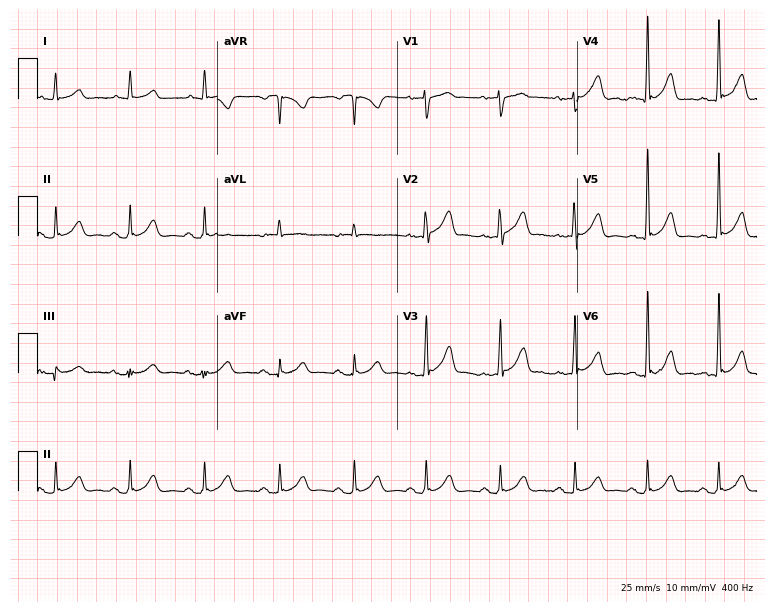
12-lead ECG from a 72-year-old male patient (7.3-second recording at 400 Hz). Recorded interpretation: within normal limits.